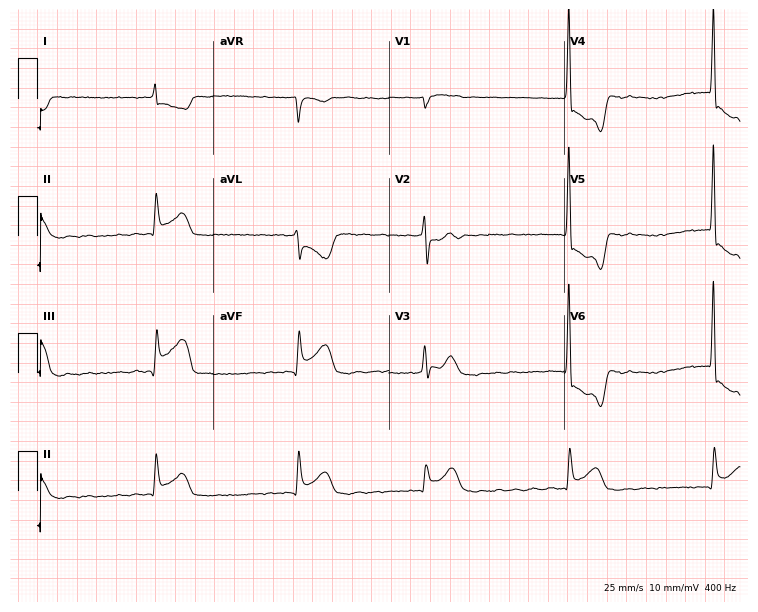
12-lead ECG (7.2-second recording at 400 Hz) from a 62-year-old male. Findings include atrial fibrillation.